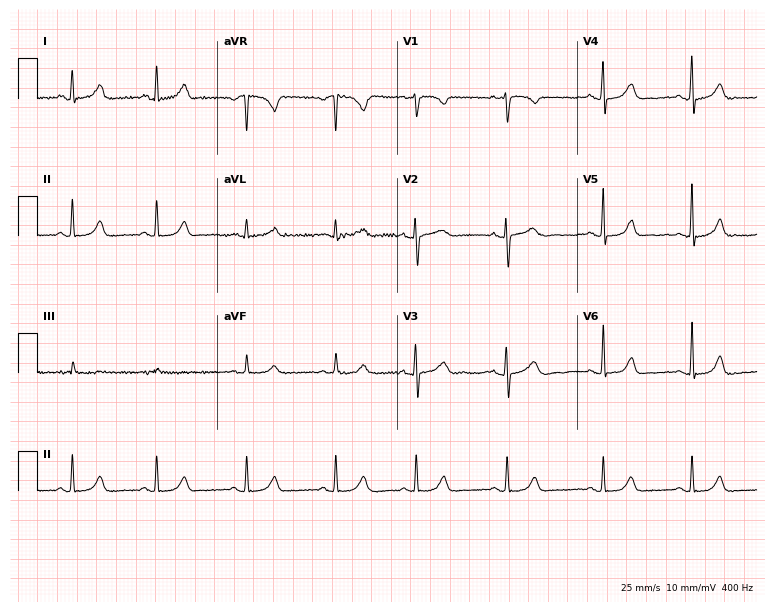
12-lead ECG from a 26-year-old female patient. Recorded interpretation: within normal limits.